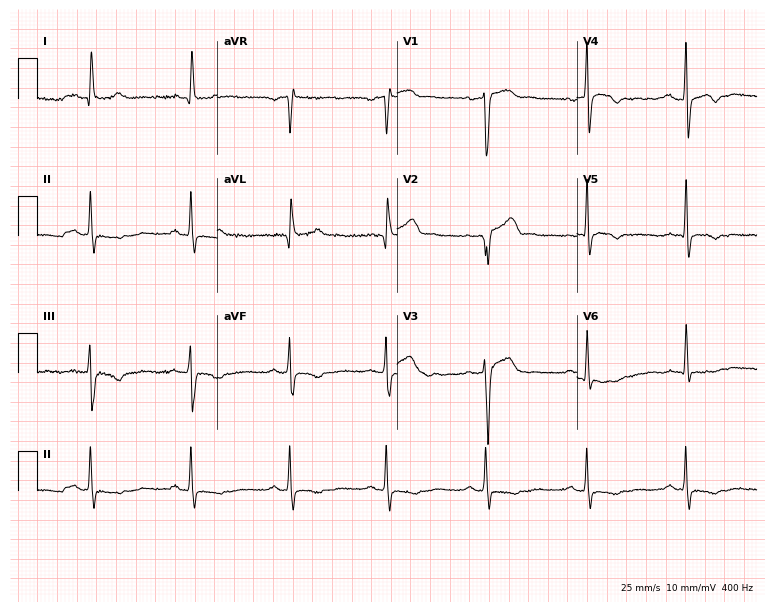
12-lead ECG from a 37-year-old male patient. Screened for six findings — first-degree AV block, right bundle branch block, left bundle branch block, sinus bradycardia, atrial fibrillation, sinus tachycardia — none is recorded. Only these six findings were labelled.